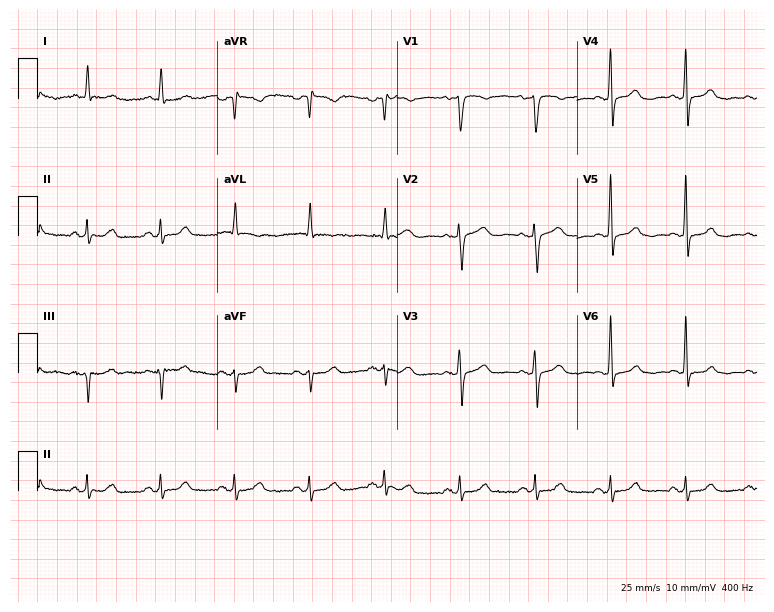
Resting 12-lead electrocardiogram. Patient: a 70-year-old female. None of these six findings is recorded: first-degree AV block, right bundle branch block (RBBB), left bundle branch block (LBBB), sinus bradycardia, atrial fibrillation (AF), sinus tachycardia.